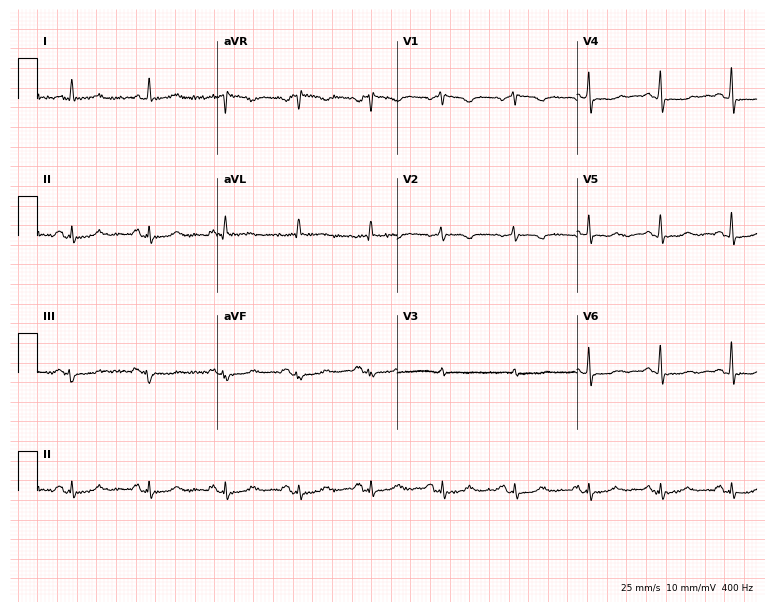
Electrocardiogram (7.3-second recording at 400 Hz), a female, 58 years old. Of the six screened findings (first-degree AV block, right bundle branch block, left bundle branch block, sinus bradycardia, atrial fibrillation, sinus tachycardia), none is recorded.